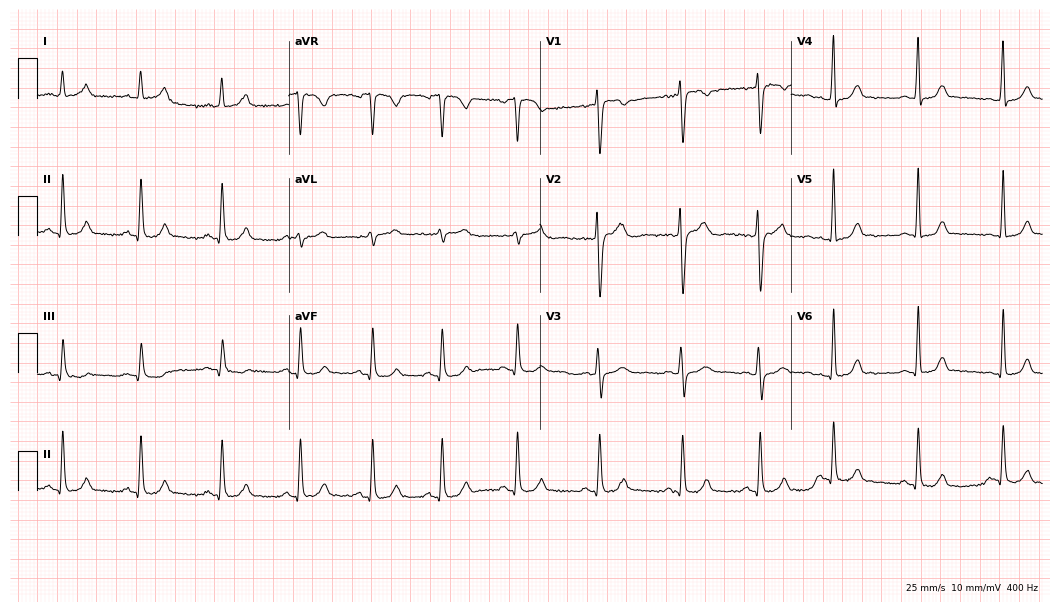
Resting 12-lead electrocardiogram. Patient: a woman, 34 years old. None of these six findings is recorded: first-degree AV block, right bundle branch block, left bundle branch block, sinus bradycardia, atrial fibrillation, sinus tachycardia. Only these six findings were labelled.